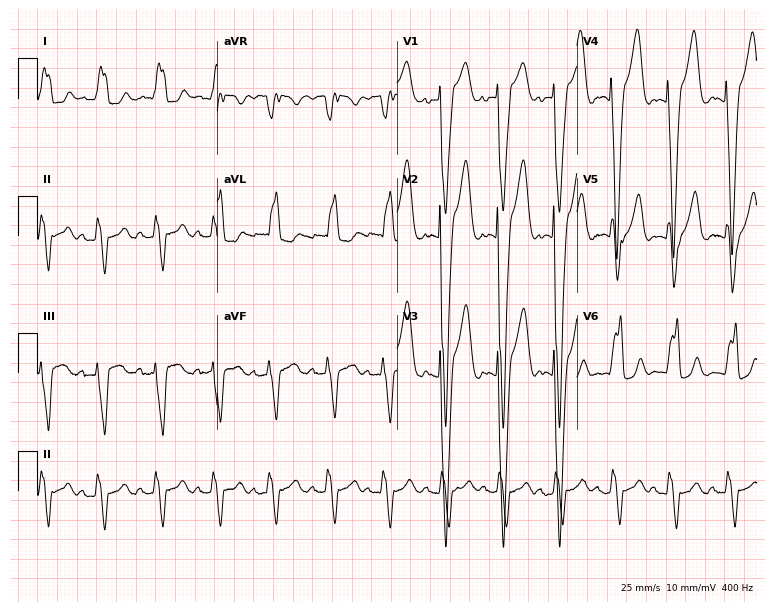
Electrocardiogram (7.3-second recording at 400 Hz), a female, 78 years old. Interpretation includes left bundle branch block (LBBB), sinus tachycardia (a sinus rate of 100 beats per minute or more).